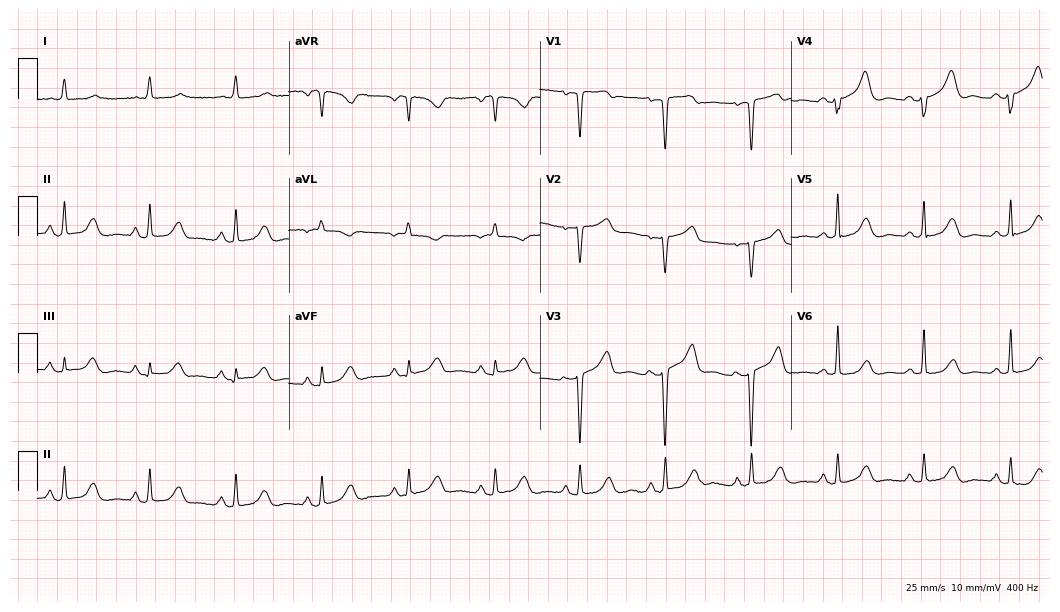
12-lead ECG from an 80-year-old female patient (10.2-second recording at 400 Hz). No first-degree AV block, right bundle branch block, left bundle branch block, sinus bradycardia, atrial fibrillation or sinus tachycardia recorded for this tracing.